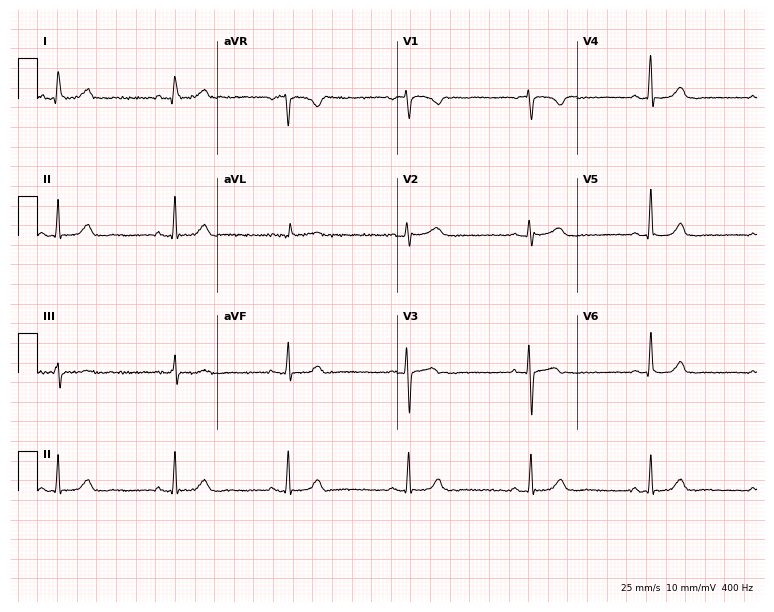
Resting 12-lead electrocardiogram. Patient: a female, 62 years old. Read as a normal ECG.